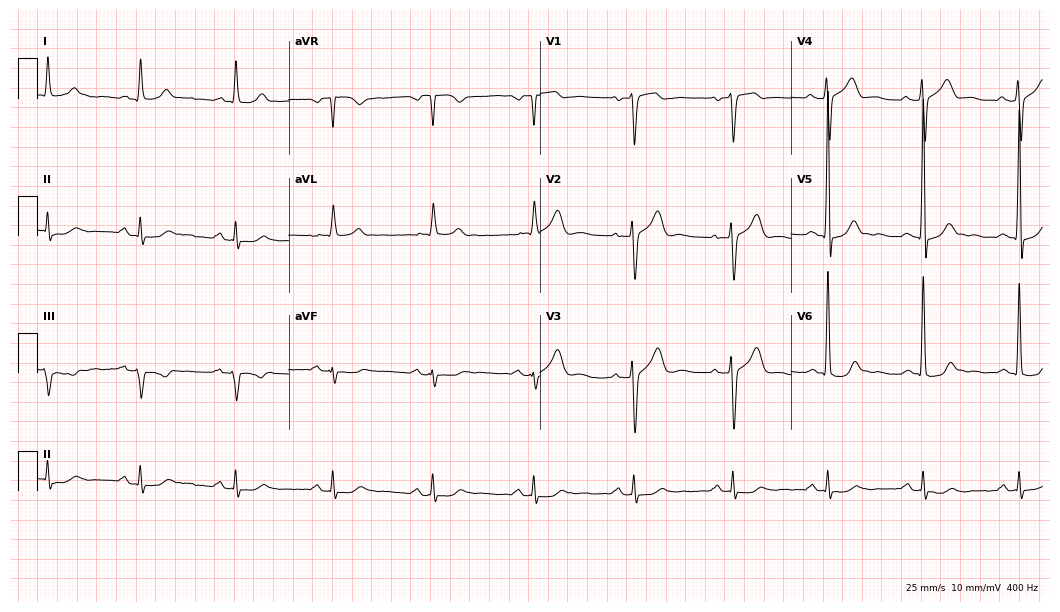
12-lead ECG from a 70-year-old male. Screened for six findings — first-degree AV block, right bundle branch block, left bundle branch block, sinus bradycardia, atrial fibrillation, sinus tachycardia — none is recorded.